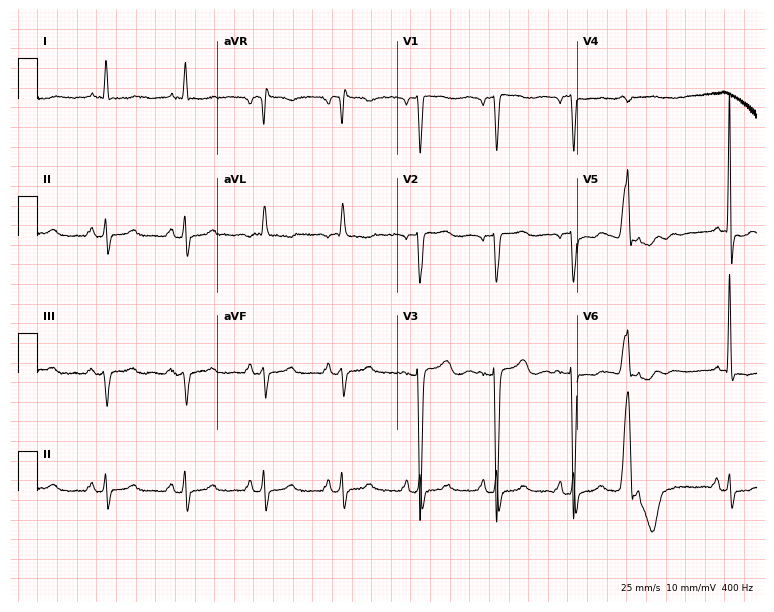
12-lead ECG (7.3-second recording at 400 Hz) from a female patient, 72 years old. Screened for six findings — first-degree AV block, right bundle branch block, left bundle branch block, sinus bradycardia, atrial fibrillation, sinus tachycardia — none is recorded.